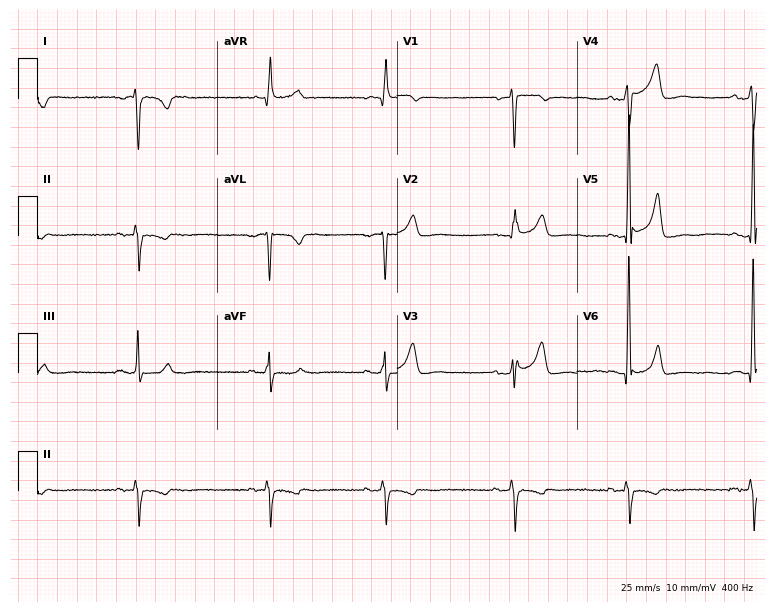
12-lead ECG from a 50-year-old male patient (7.3-second recording at 400 Hz). No first-degree AV block, right bundle branch block (RBBB), left bundle branch block (LBBB), sinus bradycardia, atrial fibrillation (AF) or sinus tachycardia recorded for this tracing. Findings outside these six are not listed.